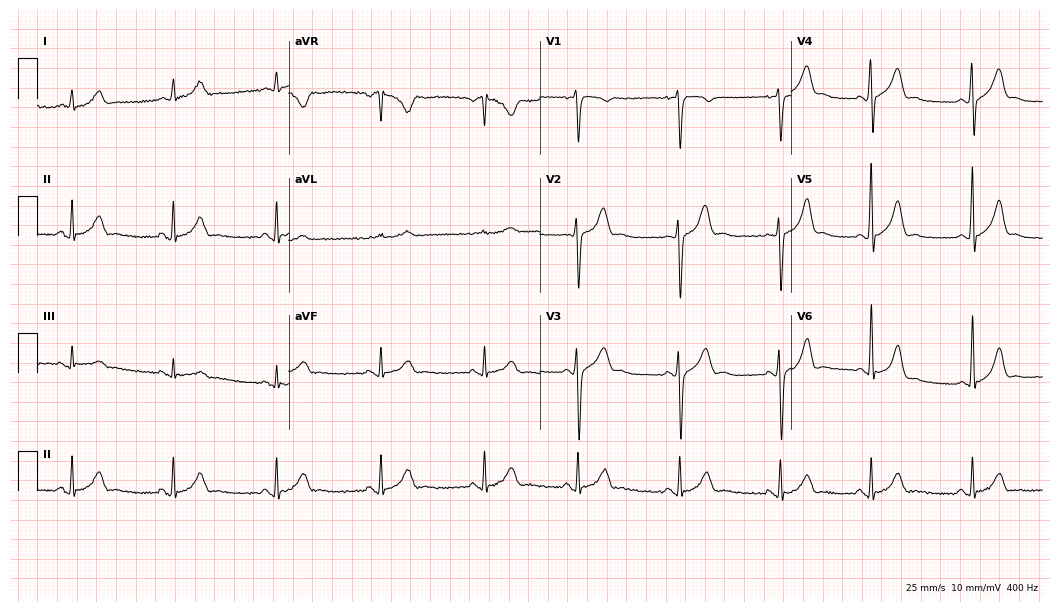
12-lead ECG from a man, 25 years old. Recorded interpretation: within normal limits.